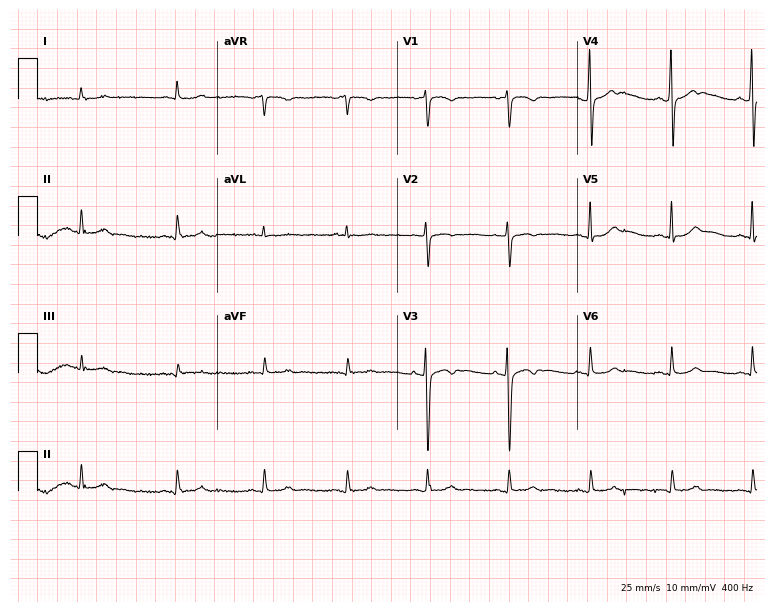
12-lead ECG from a female, 21 years old (7.3-second recording at 400 Hz). No first-degree AV block, right bundle branch block, left bundle branch block, sinus bradycardia, atrial fibrillation or sinus tachycardia recorded for this tracing.